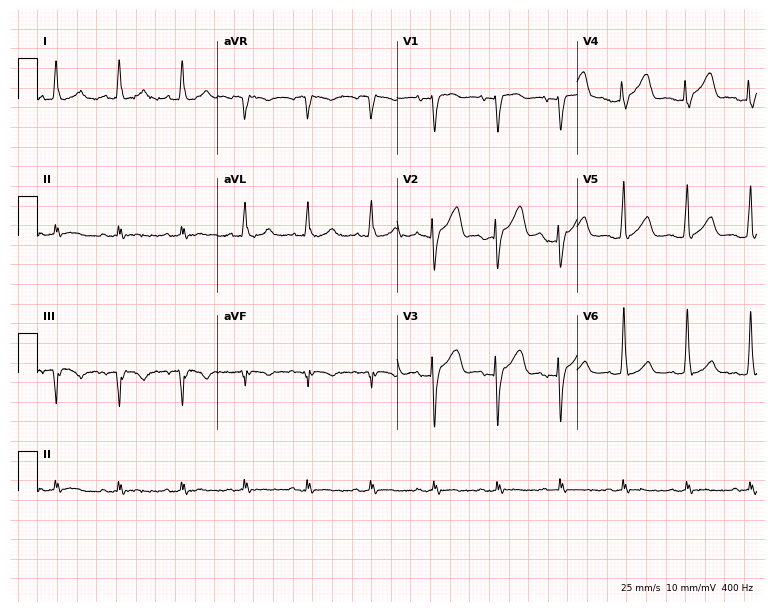
ECG — a woman, 83 years old. Screened for six findings — first-degree AV block, right bundle branch block (RBBB), left bundle branch block (LBBB), sinus bradycardia, atrial fibrillation (AF), sinus tachycardia — none is recorded. Findings outside these six are not listed.